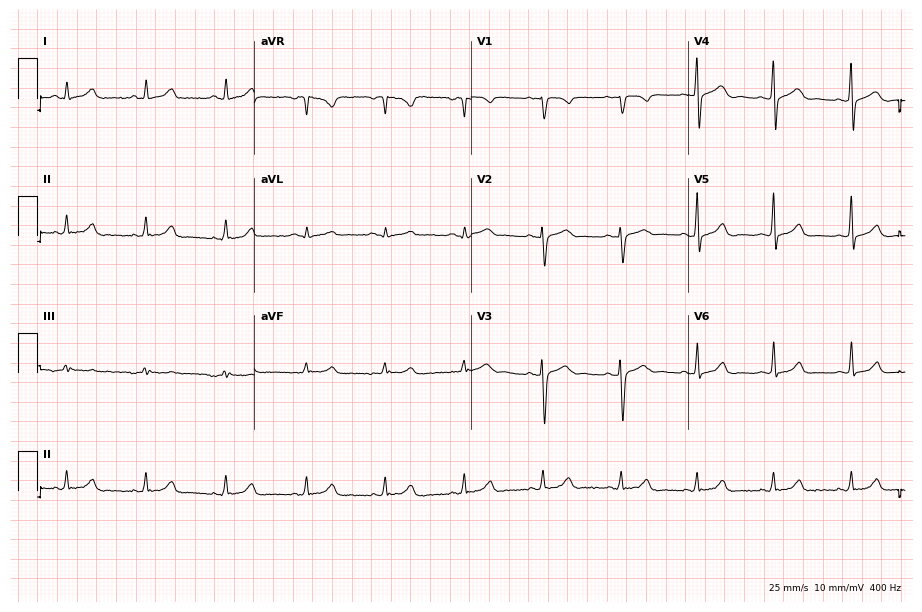
12-lead ECG from a woman, 39 years old. Labelled as a normal ECG.